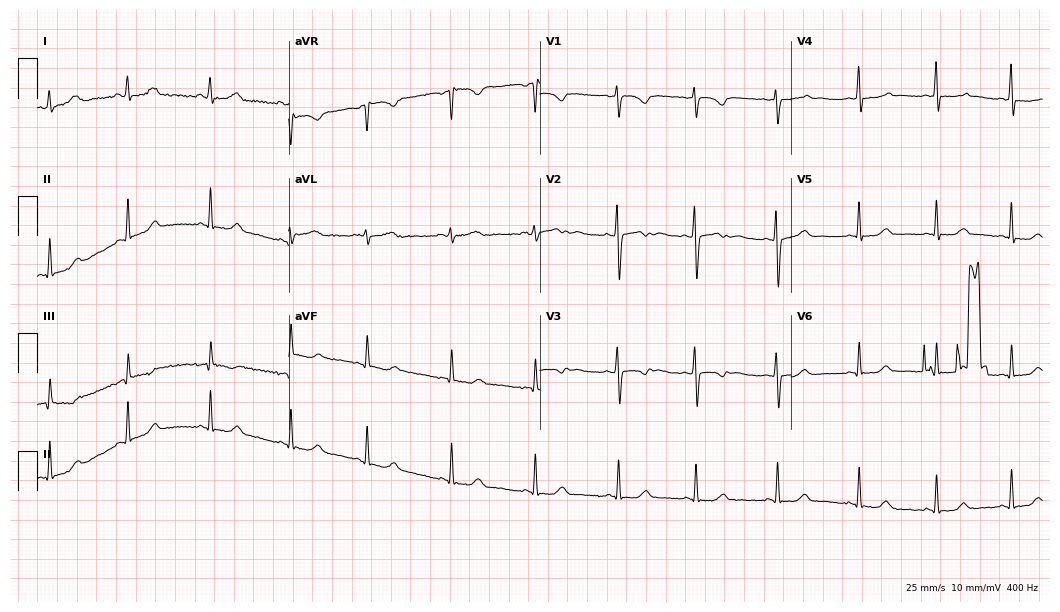
12-lead ECG (10.2-second recording at 400 Hz) from a woman, 19 years old. Screened for six findings — first-degree AV block, right bundle branch block, left bundle branch block, sinus bradycardia, atrial fibrillation, sinus tachycardia — none is recorded.